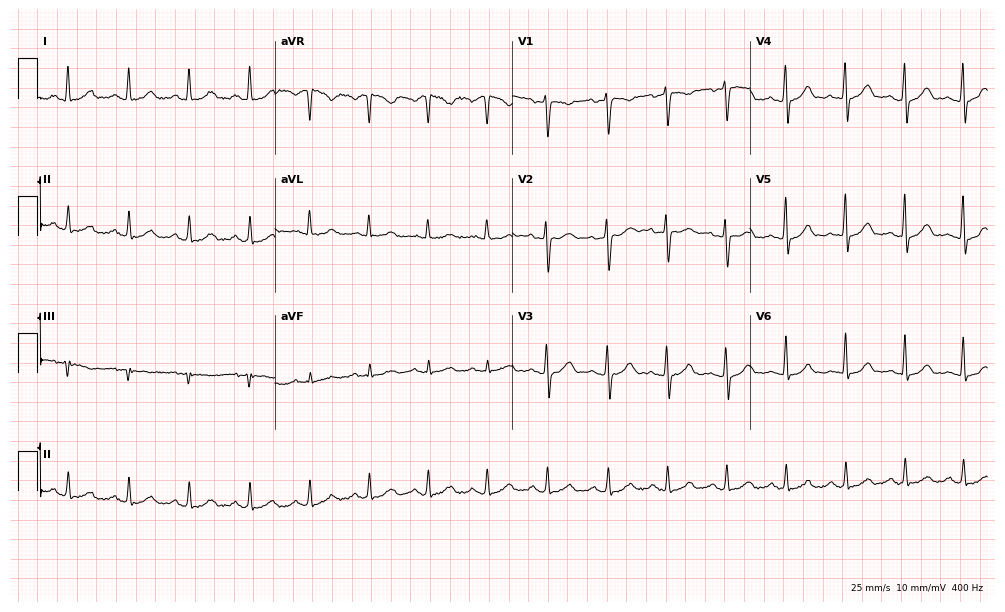
Resting 12-lead electrocardiogram (9.7-second recording at 400 Hz). Patient: a 26-year-old woman. Read as a normal ECG.